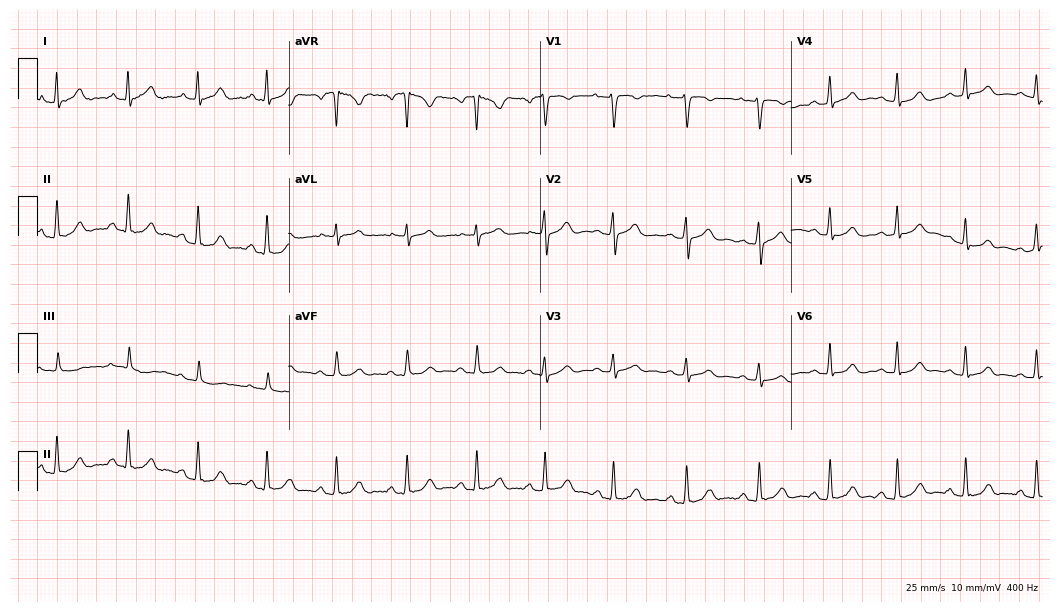
12-lead ECG from a woman, 27 years old. Recorded interpretation: within normal limits.